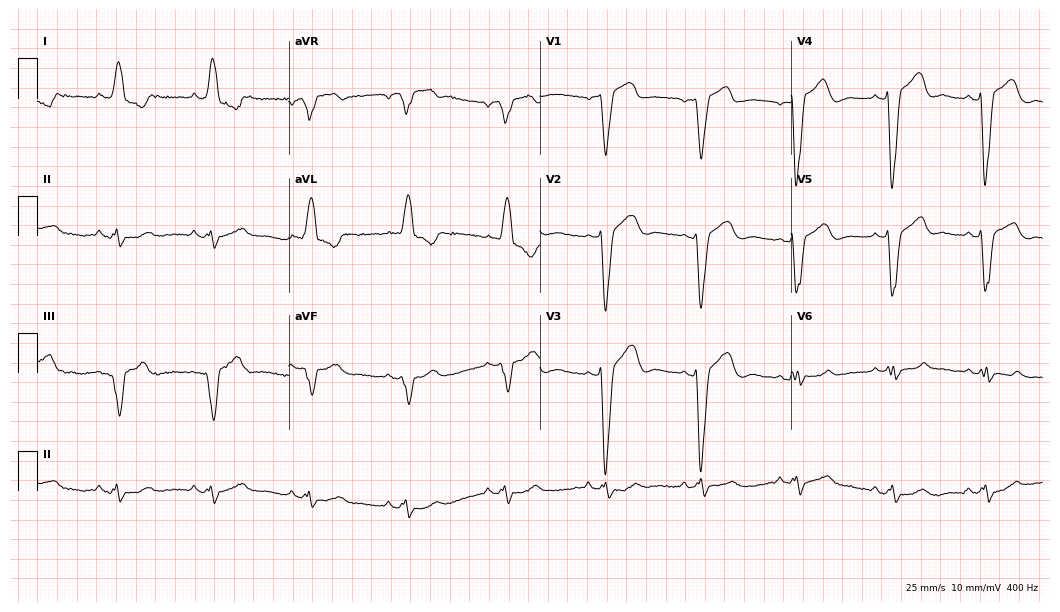
Standard 12-lead ECG recorded from a 48-year-old male. The tracing shows left bundle branch block.